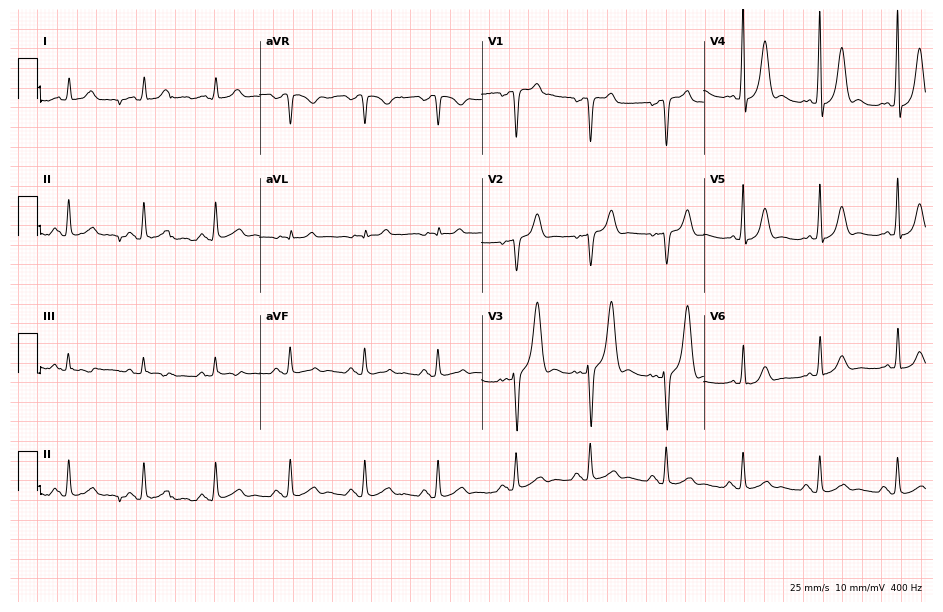
12-lead ECG from a male patient, 51 years old. Recorded interpretation: within normal limits.